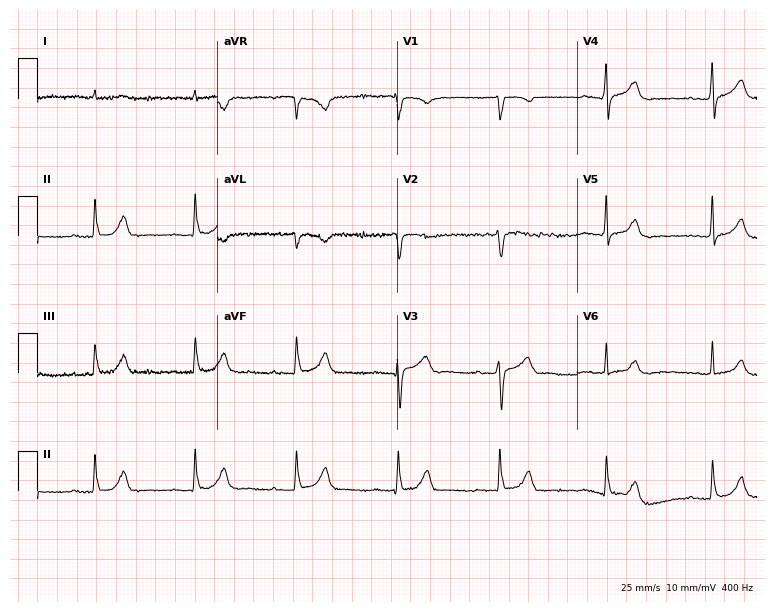
Standard 12-lead ECG recorded from a male patient, 84 years old. None of these six findings is recorded: first-degree AV block, right bundle branch block, left bundle branch block, sinus bradycardia, atrial fibrillation, sinus tachycardia. Only these six findings were labelled.